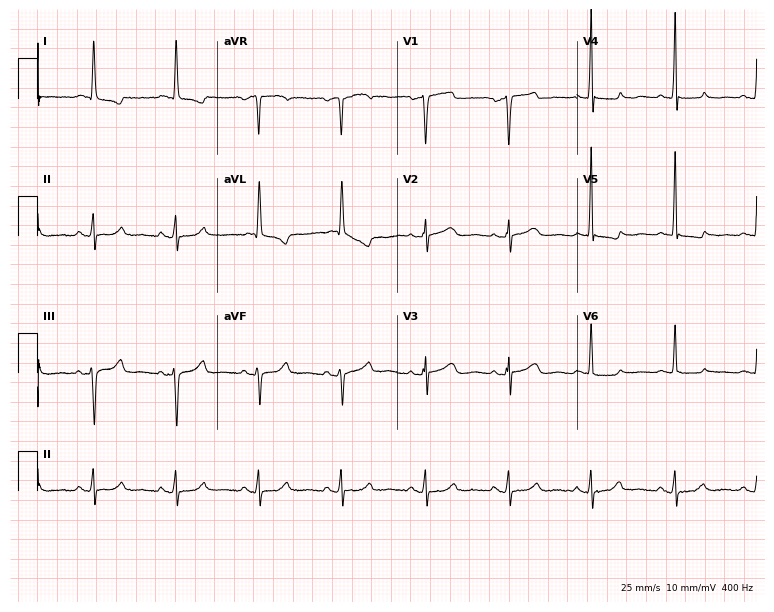
Electrocardiogram (7.3-second recording at 400 Hz), a female patient, 63 years old. Of the six screened findings (first-degree AV block, right bundle branch block, left bundle branch block, sinus bradycardia, atrial fibrillation, sinus tachycardia), none is recorded.